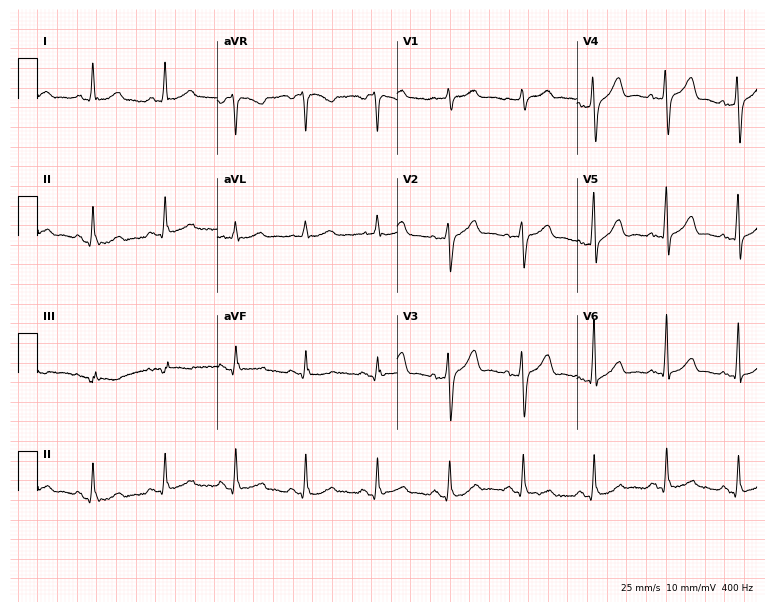
12-lead ECG from a female, 53 years old. Recorded interpretation: within normal limits.